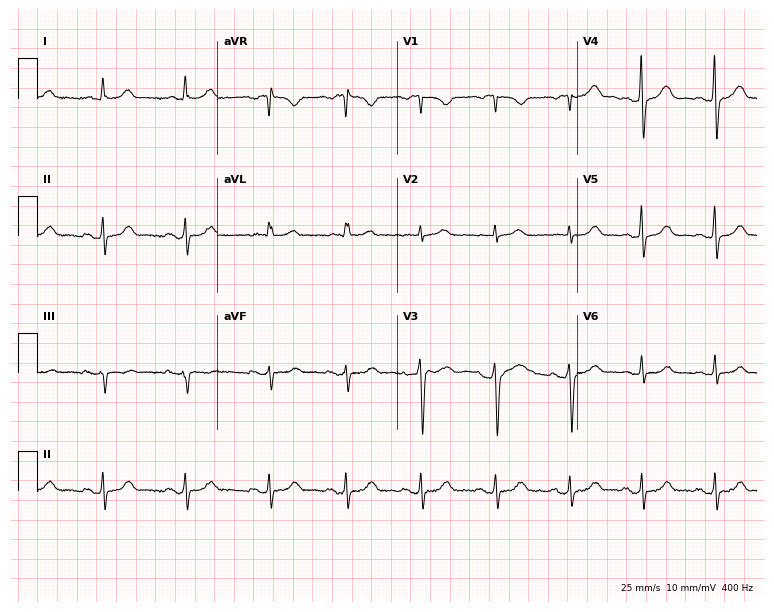
ECG (7.3-second recording at 400 Hz) — a female patient, 59 years old. Labelled as a normal ECG.